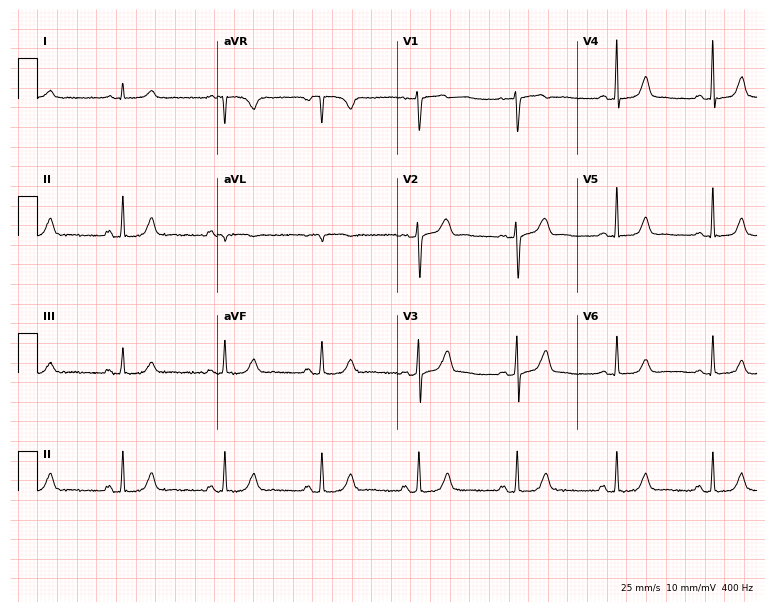
ECG — a 49-year-old woman. Screened for six findings — first-degree AV block, right bundle branch block (RBBB), left bundle branch block (LBBB), sinus bradycardia, atrial fibrillation (AF), sinus tachycardia — none is recorded. Findings outside these six are not listed.